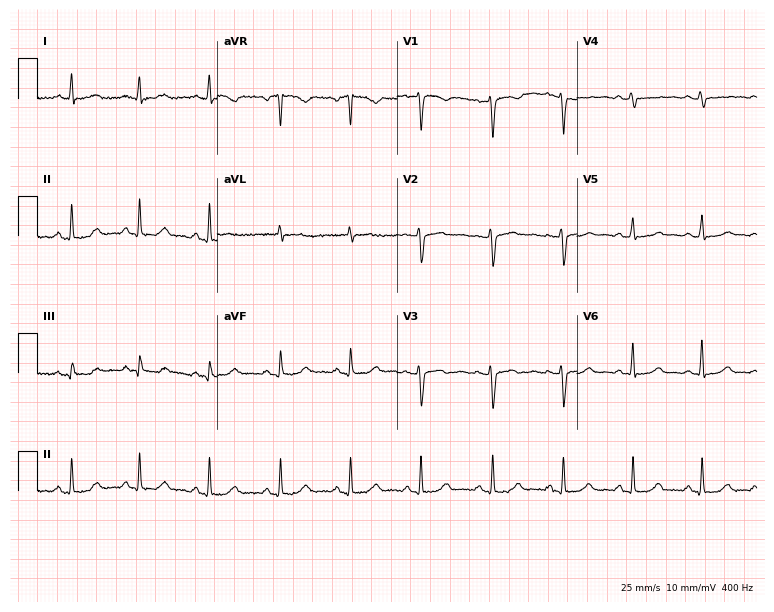
Standard 12-lead ECG recorded from a 41-year-old woman (7.3-second recording at 400 Hz). None of these six findings is recorded: first-degree AV block, right bundle branch block, left bundle branch block, sinus bradycardia, atrial fibrillation, sinus tachycardia.